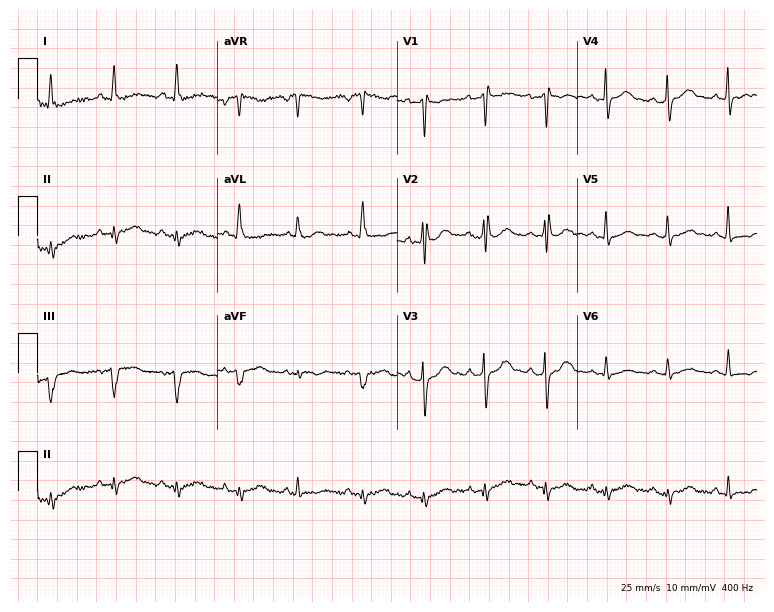
Resting 12-lead electrocardiogram (7.3-second recording at 400 Hz). Patient: a male, 49 years old. None of these six findings is recorded: first-degree AV block, right bundle branch block (RBBB), left bundle branch block (LBBB), sinus bradycardia, atrial fibrillation (AF), sinus tachycardia.